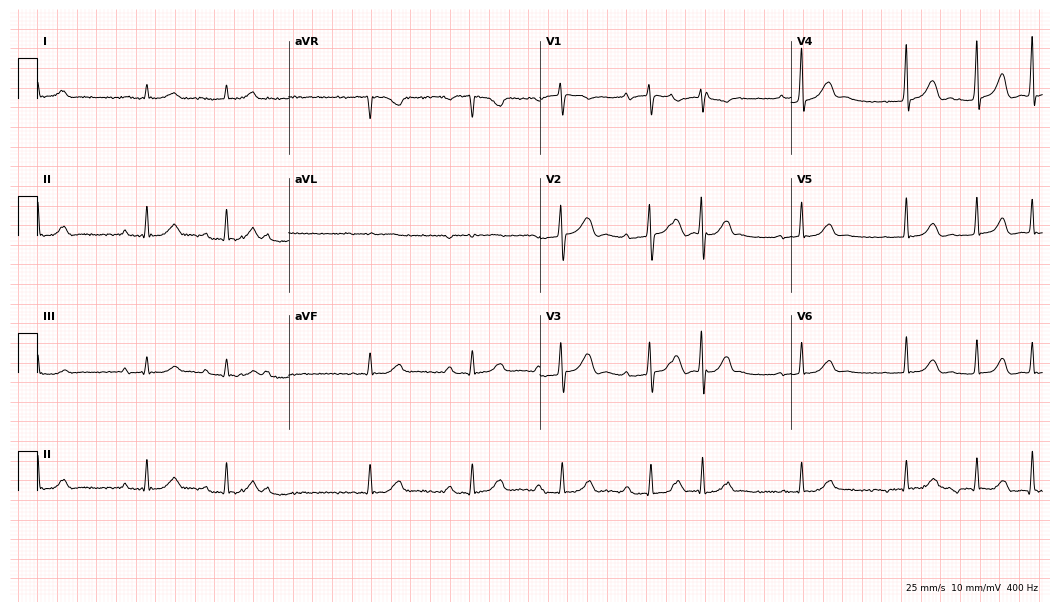
ECG (10.2-second recording at 400 Hz) — an 83-year-old male. Findings include first-degree AV block, atrial fibrillation.